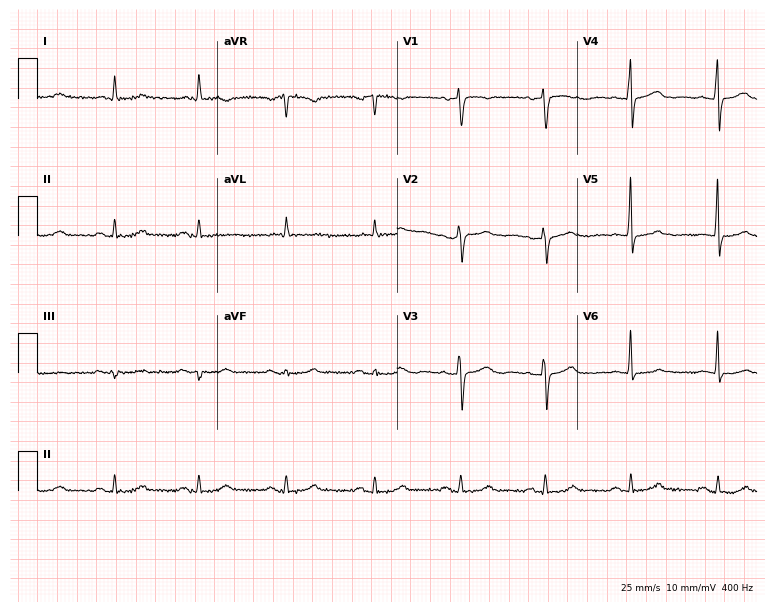
ECG (7.3-second recording at 400 Hz) — a 73-year-old woman. Labelled as a normal ECG.